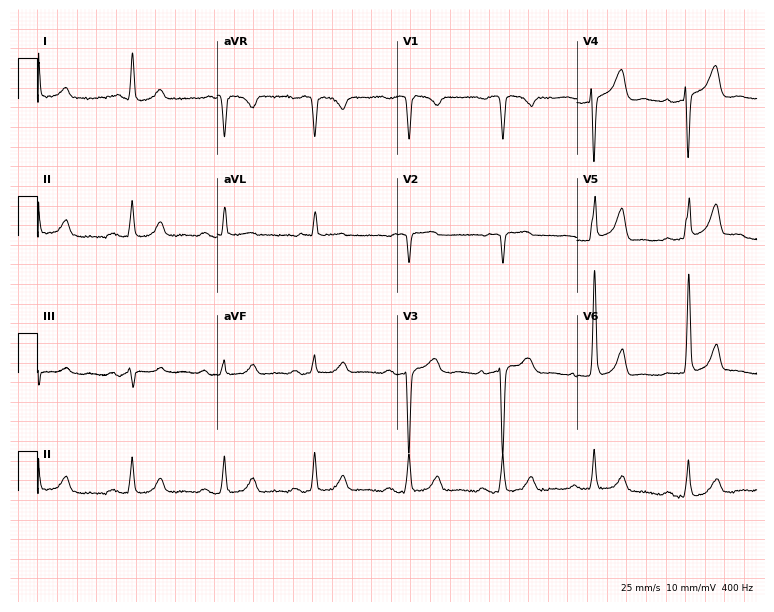
12-lead ECG from a man, 72 years old. Recorded interpretation: within normal limits.